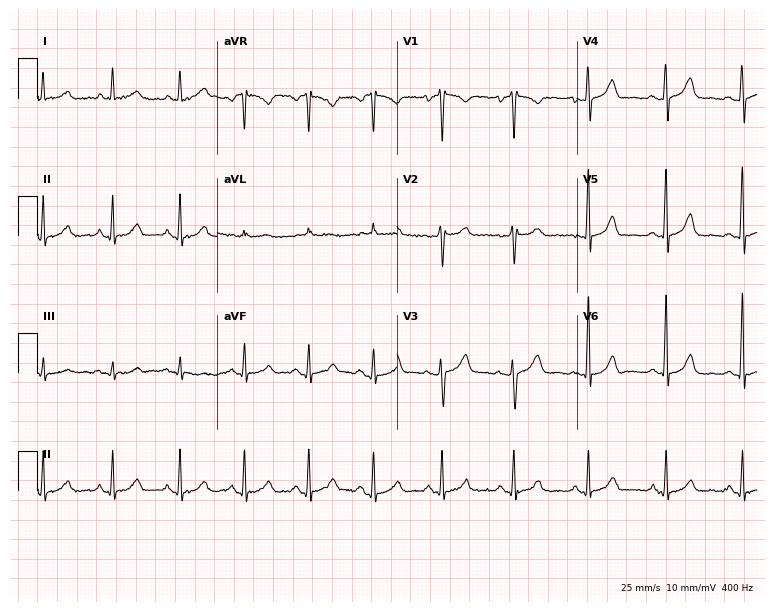
ECG (7.3-second recording at 400 Hz) — a female patient, 46 years old. Screened for six findings — first-degree AV block, right bundle branch block, left bundle branch block, sinus bradycardia, atrial fibrillation, sinus tachycardia — none is recorded. Only these six findings were labelled.